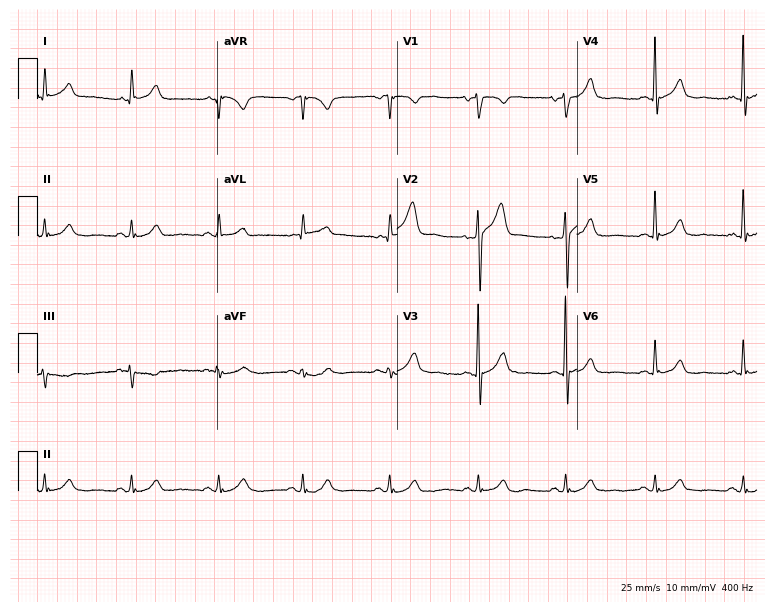
Standard 12-lead ECG recorded from a 61-year-old male (7.3-second recording at 400 Hz). Read as a normal ECG.